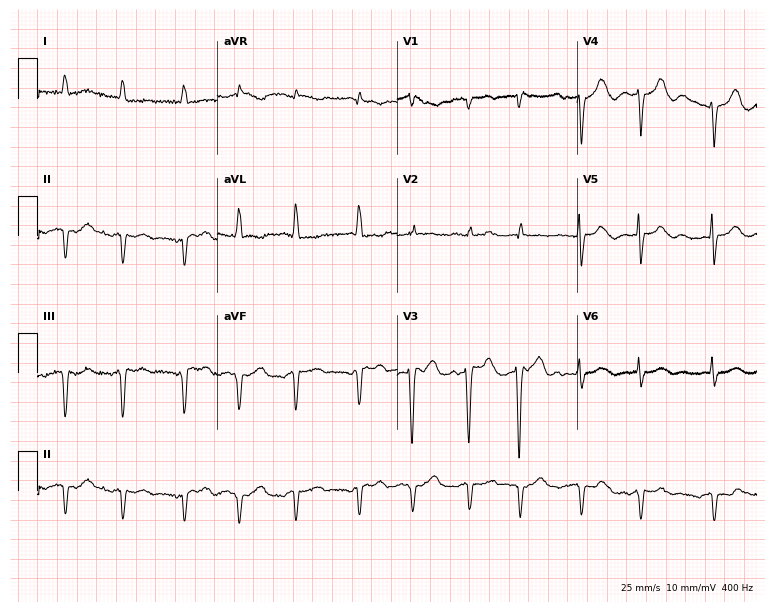
Standard 12-lead ECG recorded from a female patient, 82 years old (7.3-second recording at 400 Hz). The tracing shows atrial fibrillation.